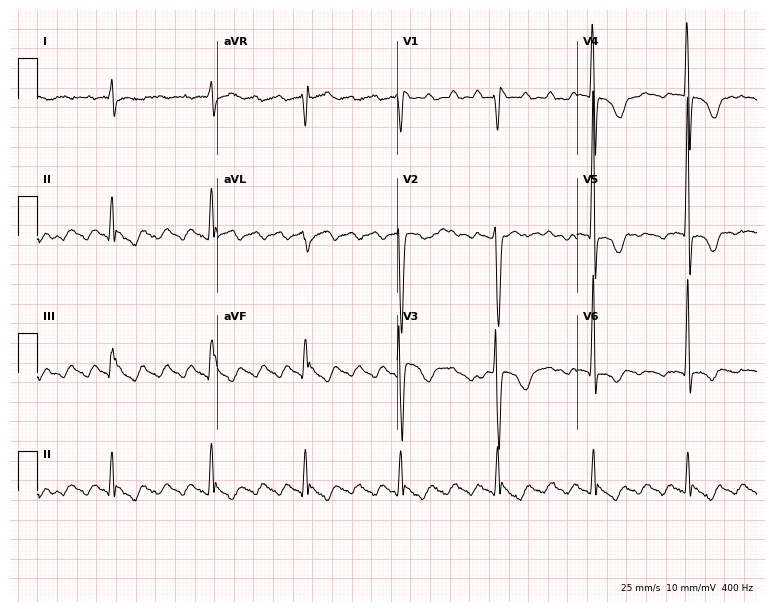
Standard 12-lead ECG recorded from a man, 54 years old. None of these six findings is recorded: first-degree AV block, right bundle branch block, left bundle branch block, sinus bradycardia, atrial fibrillation, sinus tachycardia.